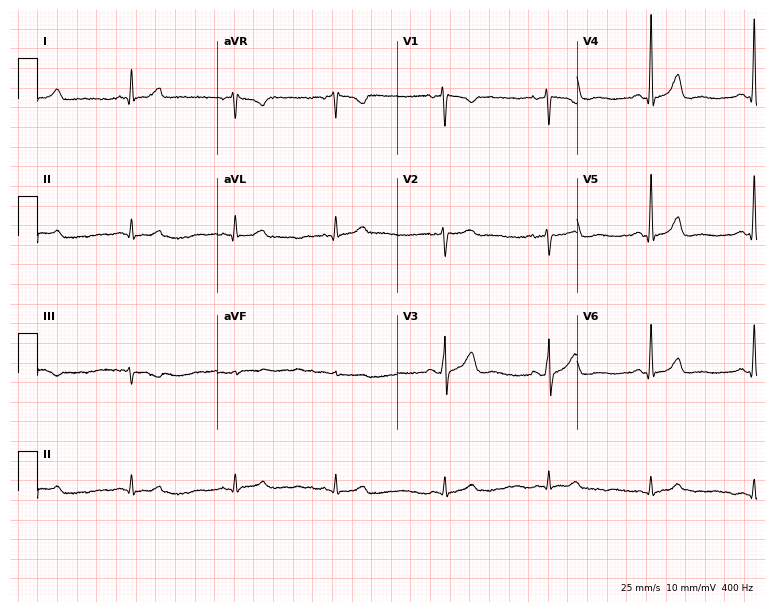
Standard 12-lead ECG recorded from a 41-year-old female patient (7.3-second recording at 400 Hz). Read as a normal ECG.